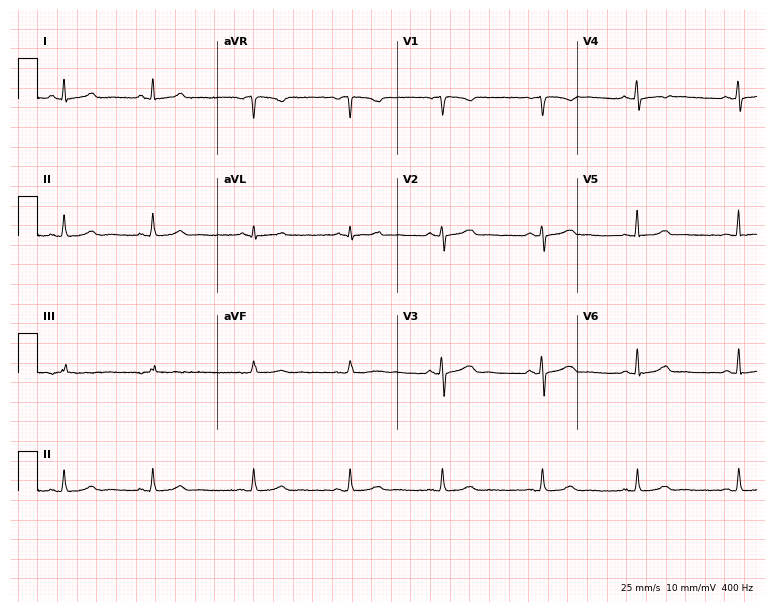
12-lead ECG from a 38-year-old woman (7.3-second recording at 400 Hz). No first-degree AV block, right bundle branch block, left bundle branch block, sinus bradycardia, atrial fibrillation or sinus tachycardia recorded for this tracing. Other findings, if any, are not listed.